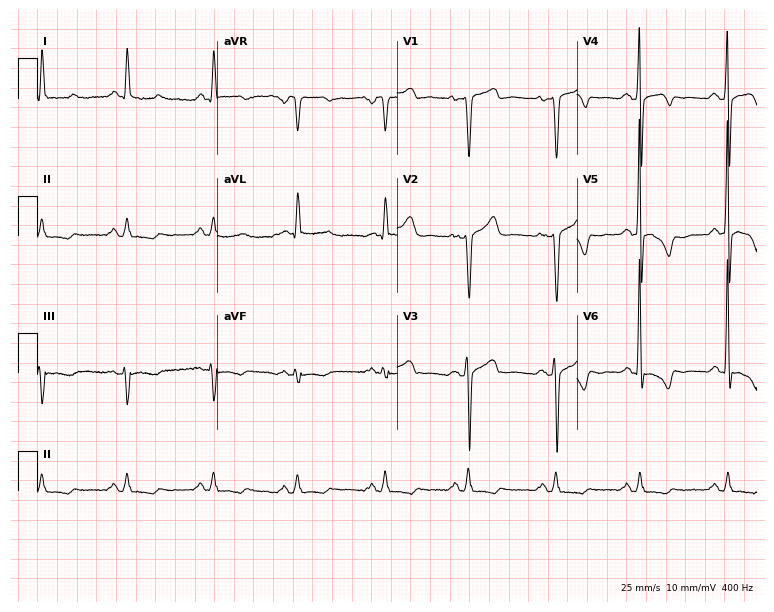
Electrocardiogram, a male, 65 years old. Of the six screened findings (first-degree AV block, right bundle branch block, left bundle branch block, sinus bradycardia, atrial fibrillation, sinus tachycardia), none is recorded. Only these six findings were labelled.